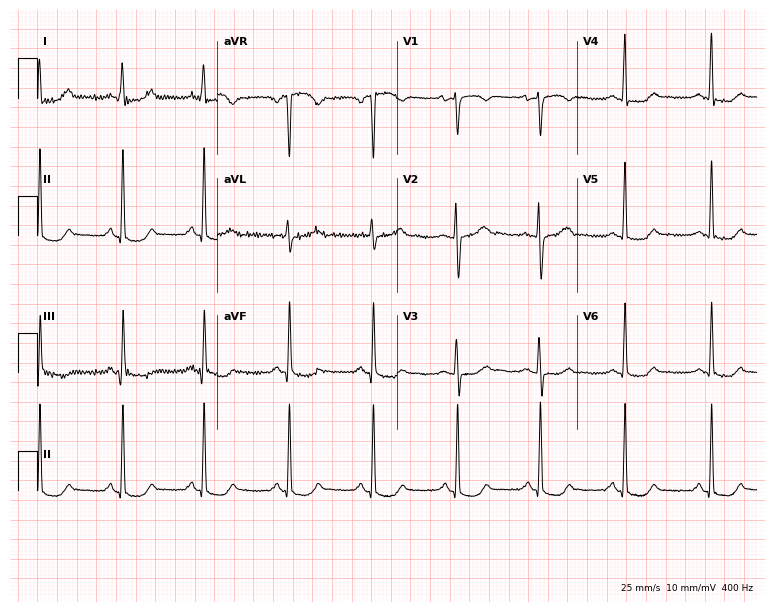
12-lead ECG from a 38-year-old woman (7.3-second recording at 400 Hz). No first-degree AV block, right bundle branch block (RBBB), left bundle branch block (LBBB), sinus bradycardia, atrial fibrillation (AF) or sinus tachycardia recorded for this tracing. Other findings, if any, are not listed.